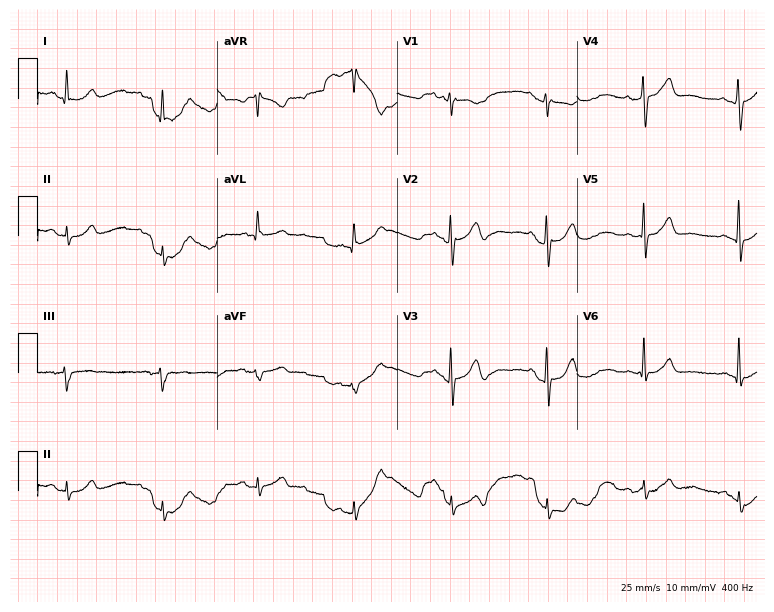
12-lead ECG from a 68-year-old female patient. Labelled as a normal ECG.